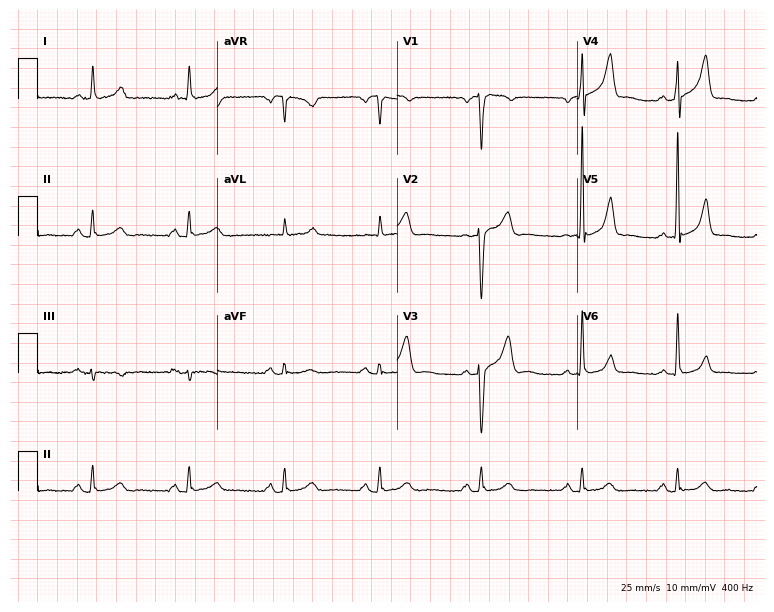
Electrocardiogram, a 65-year-old man. Overall reading on record: normal ECG.